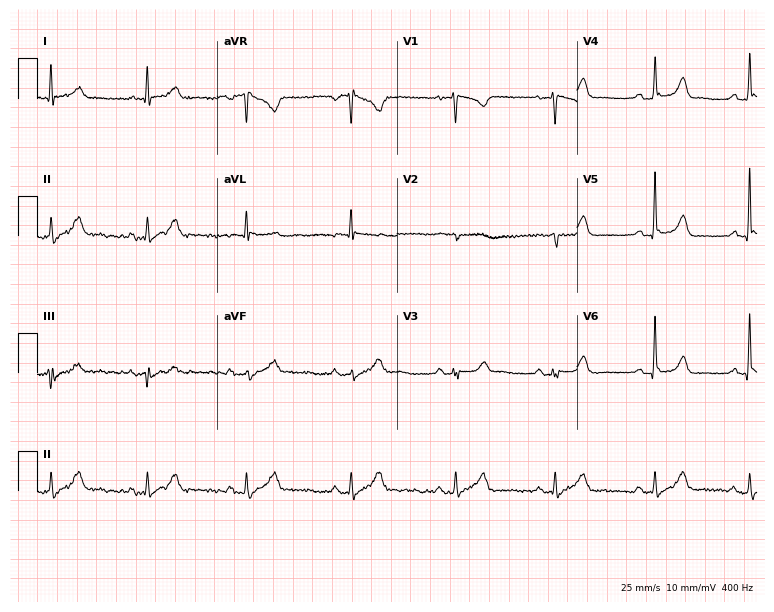
ECG (7.3-second recording at 400 Hz) — a female patient, 44 years old. Screened for six findings — first-degree AV block, right bundle branch block, left bundle branch block, sinus bradycardia, atrial fibrillation, sinus tachycardia — none is recorded.